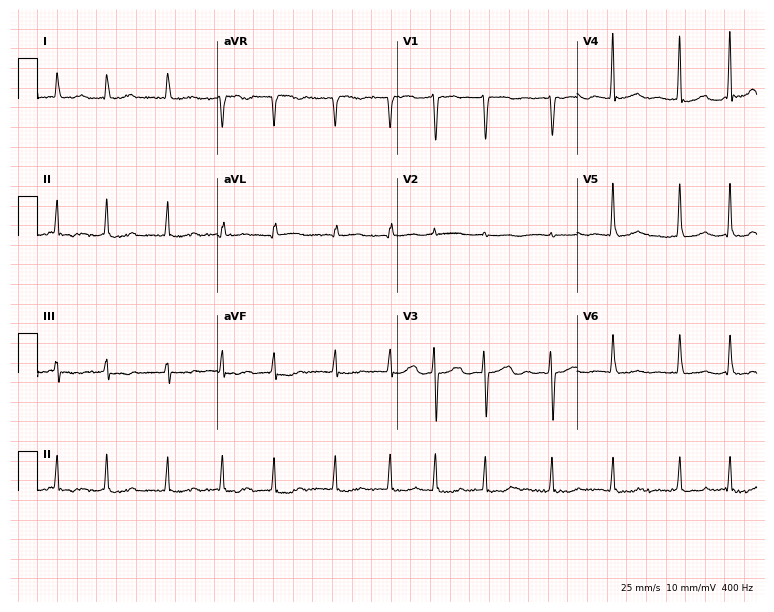
12-lead ECG from a male, 85 years old. Shows atrial fibrillation.